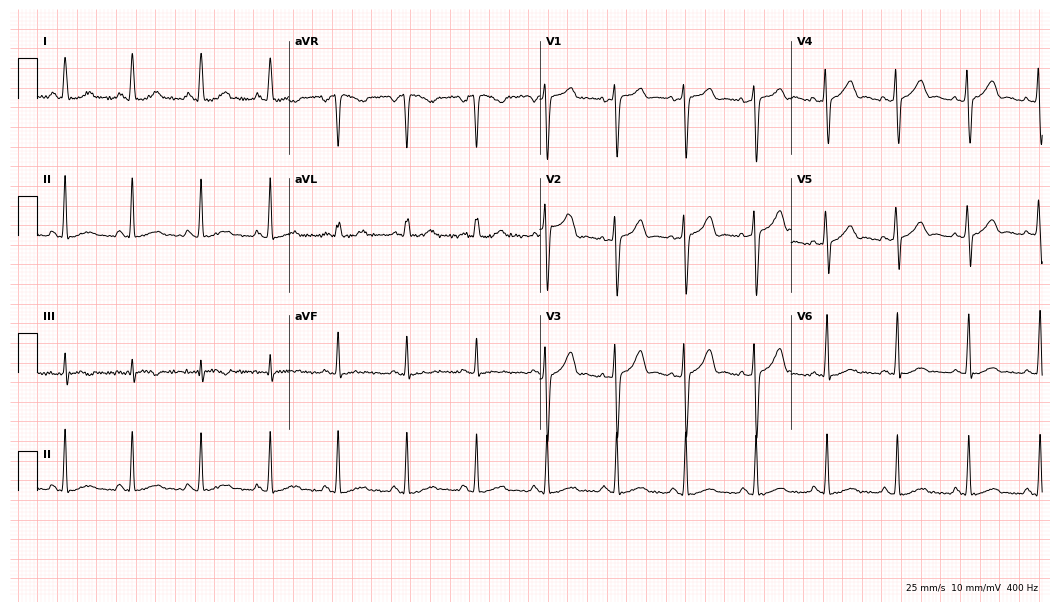
12-lead ECG from a female patient, 26 years old. Recorded interpretation: within normal limits.